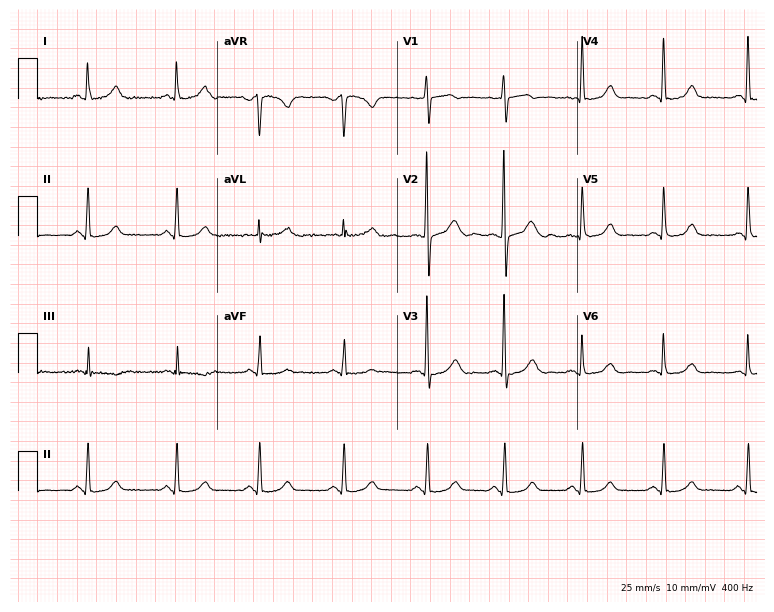
ECG — a woman, 45 years old. Labelled as a normal ECG.